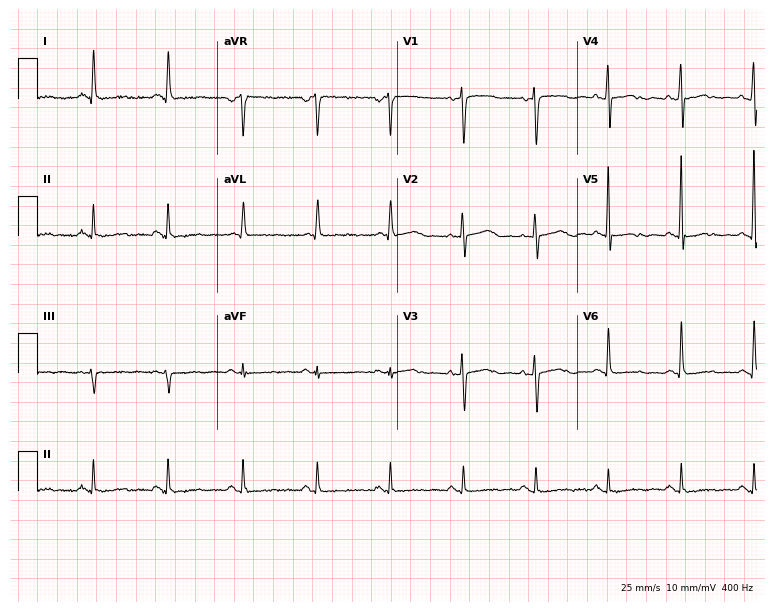
Standard 12-lead ECG recorded from a woman, 74 years old. None of these six findings is recorded: first-degree AV block, right bundle branch block, left bundle branch block, sinus bradycardia, atrial fibrillation, sinus tachycardia. Findings outside these six are not listed.